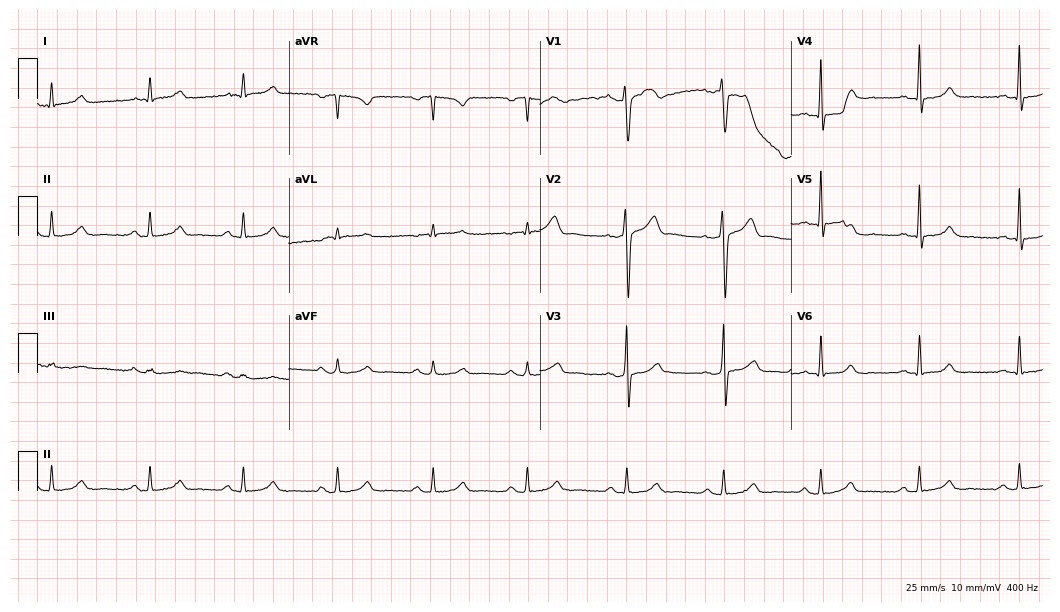
Electrocardiogram, a male, 40 years old. Overall reading on record: normal ECG.